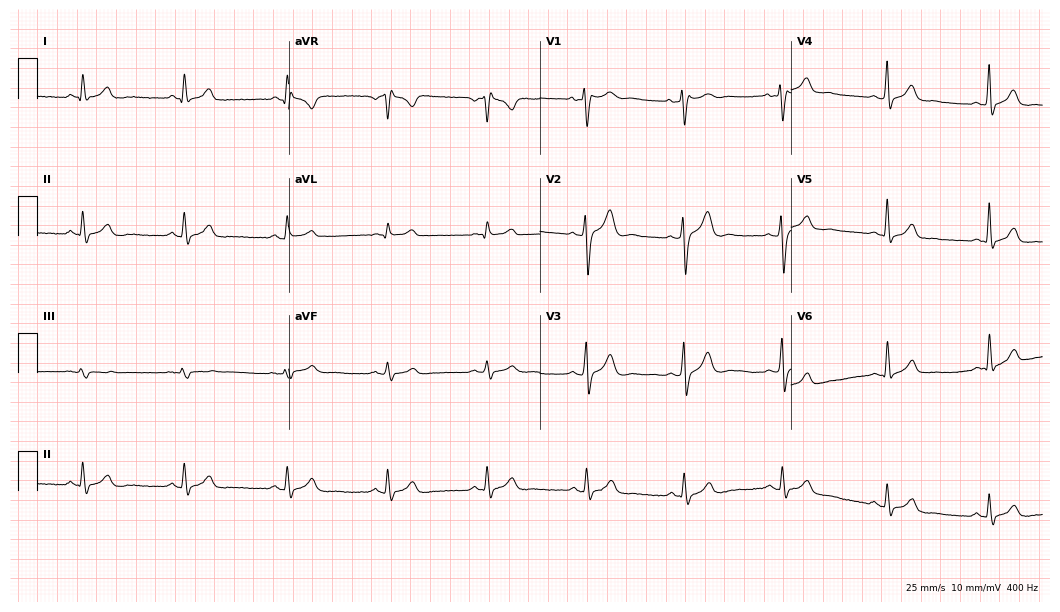
Electrocardiogram (10.2-second recording at 400 Hz), a 36-year-old male. Of the six screened findings (first-degree AV block, right bundle branch block (RBBB), left bundle branch block (LBBB), sinus bradycardia, atrial fibrillation (AF), sinus tachycardia), none is recorded. Only these six findings were labelled.